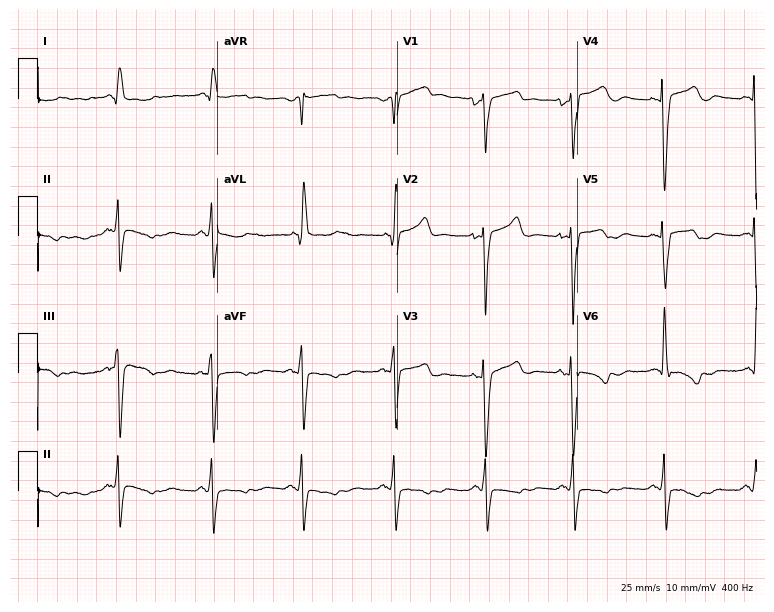
12-lead ECG from a 57-year-old female. No first-degree AV block, right bundle branch block, left bundle branch block, sinus bradycardia, atrial fibrillation or sinus tachycardia recorded for this tracing.